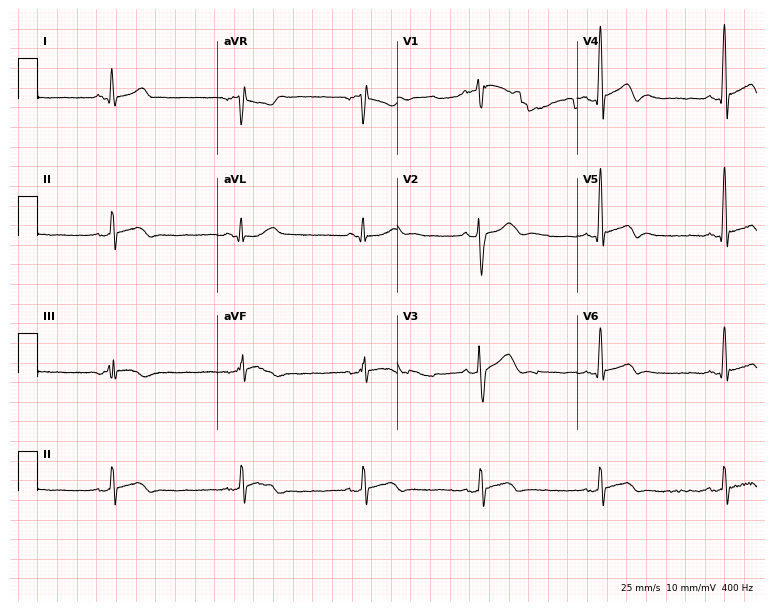
12-lead ECG from a male, 19 years old. Shows sinus bradycardia (a sinus rate of 50 beats per minute or less).